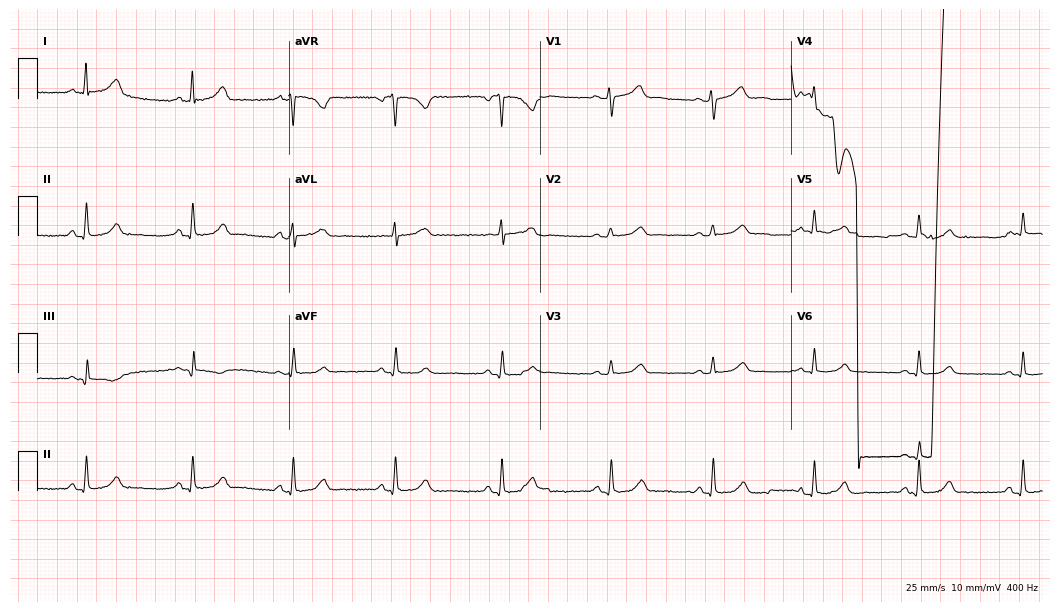
12-lead ECG from a woman, 36 years old. Recorded interpretation: within normal limits.